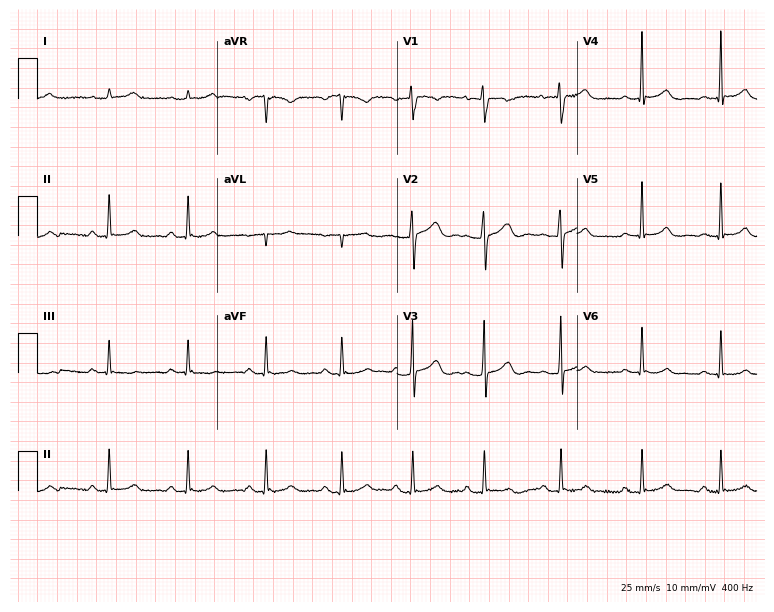
Standard 12-lead ECG recorded from a female patient, 24 years old. None of these six findings is recorded: first-degree AV block, right bundle branch block, left bundle branch block, sinus bradycardia, atrial fibrillation, sinus tachycardia.